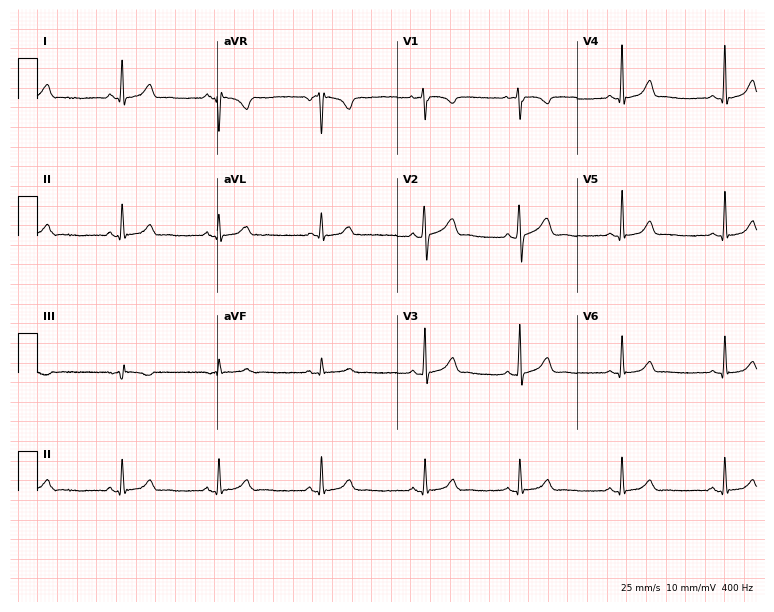
12-lead ECG from a woman, 22 years old (7.3-second recording at 400 Hz). No first-degree AV block, right bundle branch block (RBBB), left bundle branch block (LBBB), sinus bradycardia, atrial fibrillation (AF) or sinus tachycardia recorded for this tracing.